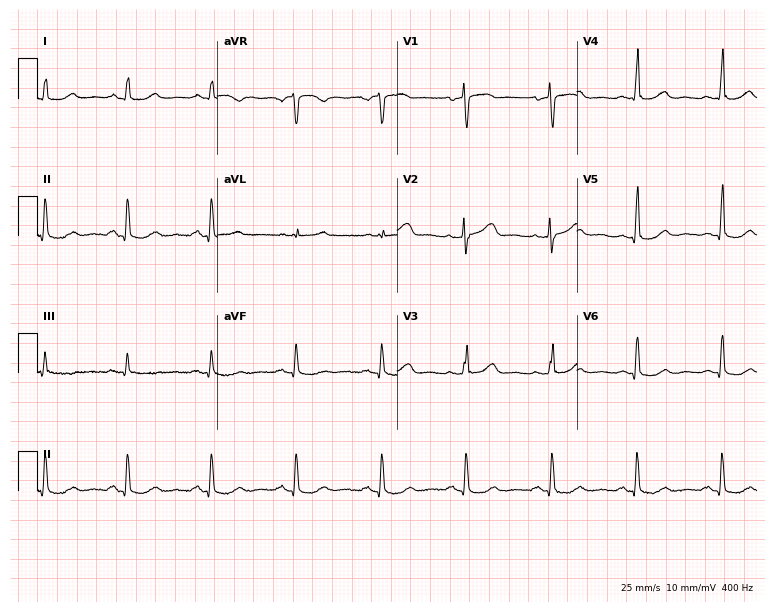
Resting 12-lead electrocardiogram. Patient: a female, 57 years old. None of these six findings is recorded: first-degree AV block, right bundle branch block, left bundle branch block, sinus bradycardia, atrial fibrillation, sinus tachycardia. Other findings, if any, are not listed.